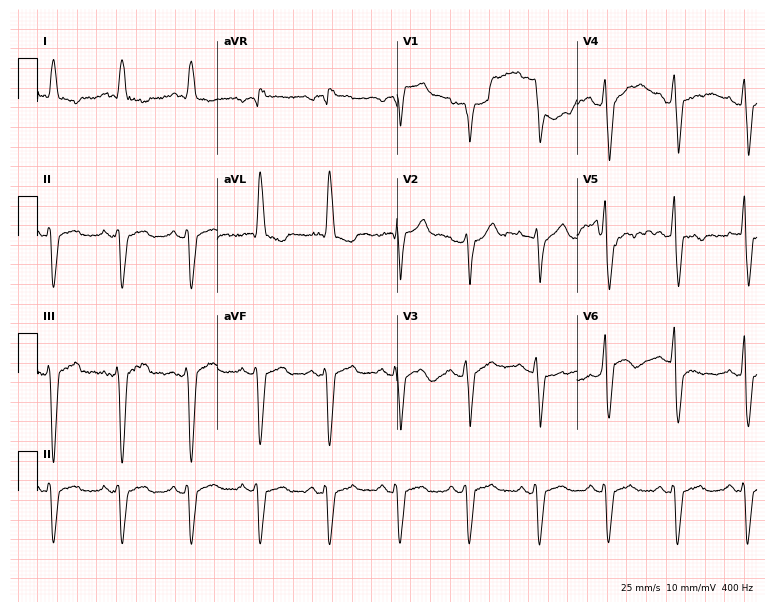
Standard 12-lead ECG recorded from a 77-year-old male (7.3-second recording at 400 Hz). None of these six findings is recorded: first-degree AV block, right bundle branch block, left bundle branch block, sinus bradycardia, atrial fibrillation, sinus tachycardia.